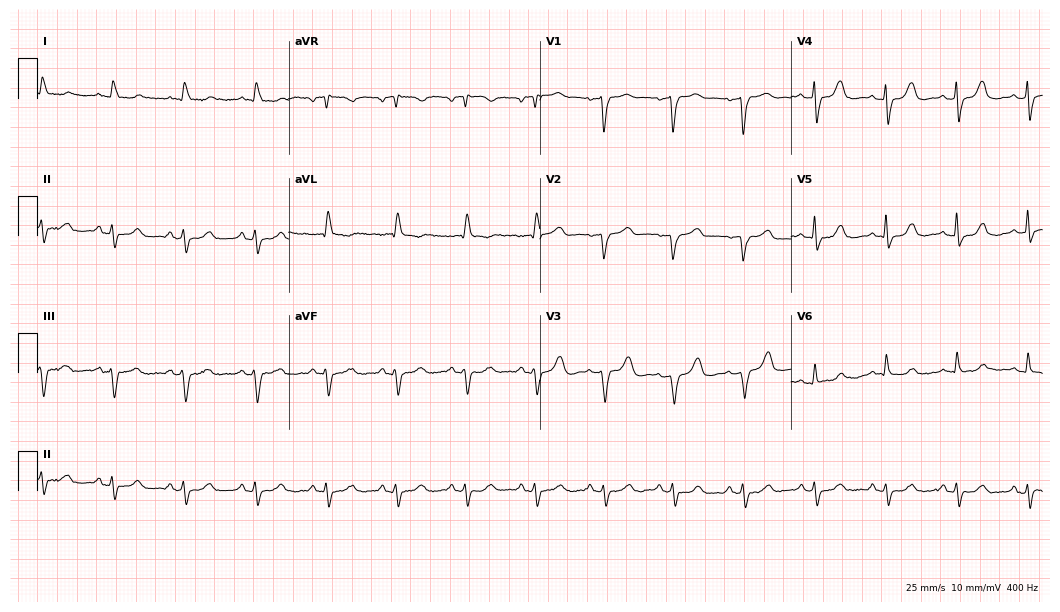
Resting 12-lead electrocardiogram. Patient: a female, 72 years old. None of these six findings is recorded: first-degree AV block, right bundle branch block, left bundle branch block, sinus bradycardia, atrial fibrillation, sinus tachycardia.